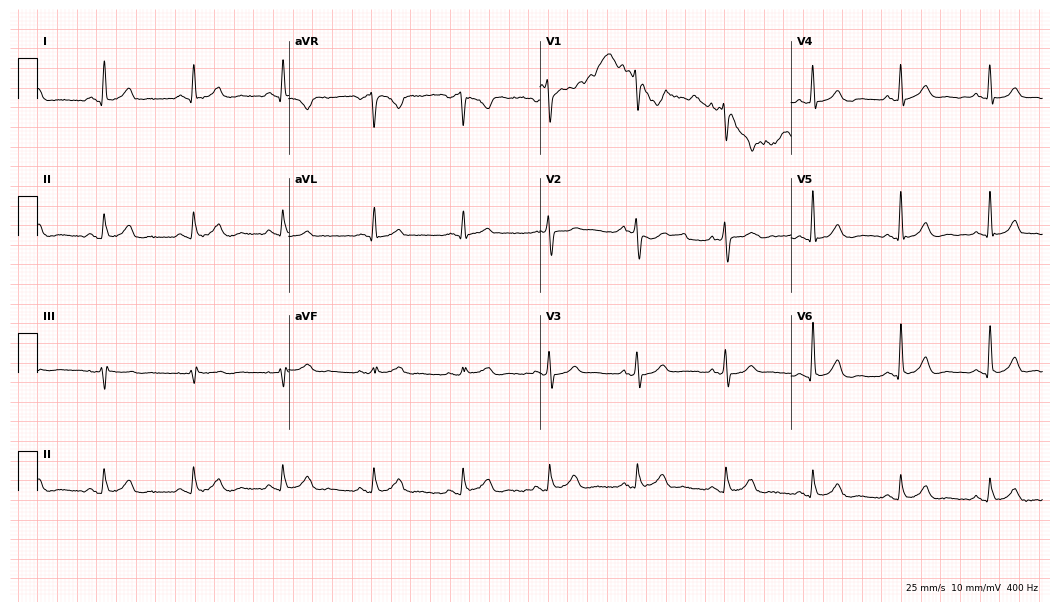
Standard 12-lead ECG recorded from a 53-year-old man (10.2-second recording at 400 Hz). Read as a normal ECG.